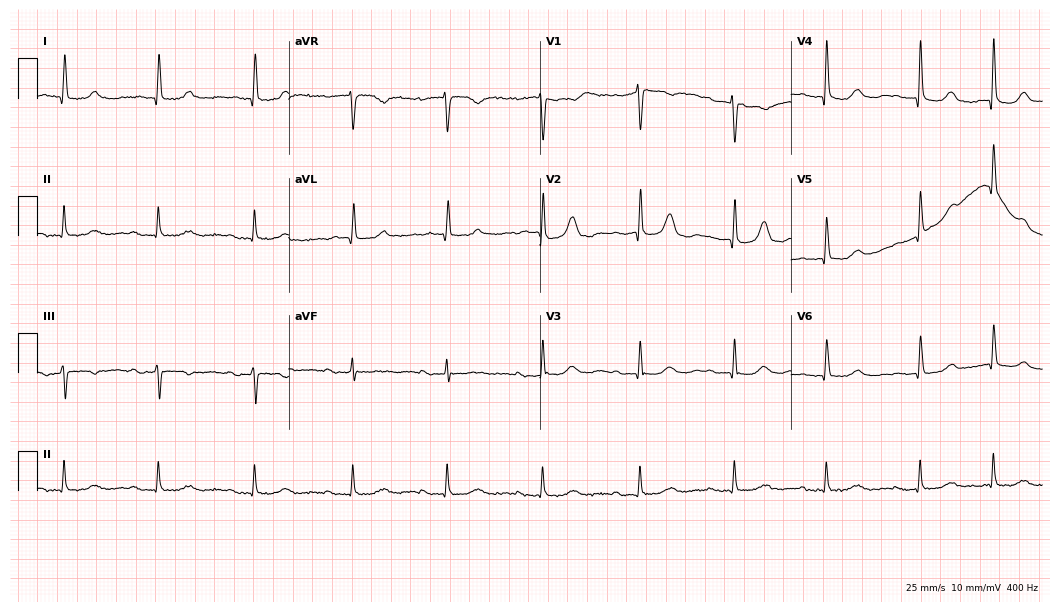
Resting 12-lead electrocardiogram. Patient: an 85-year-old female. Read as a normal ECG.